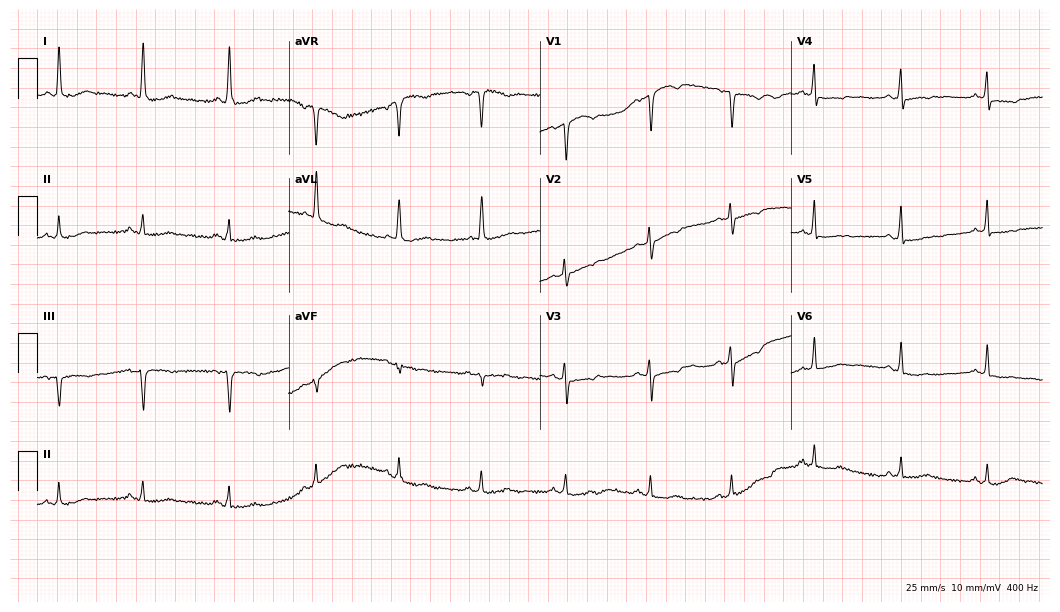
12-lead ECG from a female, 67 years old. No first-degree AV block, right bundle branch block (RBBB), left bundle branch block (LBBB), sinus bradycardia, atrial fibrillation (AF) or sinus tachycardia recorded for this tracing. Other findings, if any, are not listed.